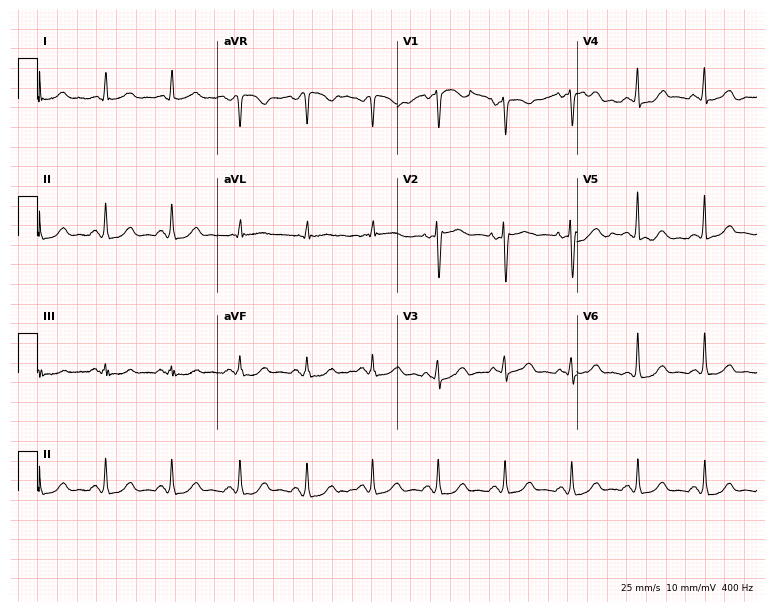
ECG (7.3-second recording at 400 Hz) — a female, 61 years old. Screened for six findings — first-degree AV block, right bundle branch block (RBBB), left bundle branch block (LBBB), sinus bradycardia, atrial fibrillation (AF), sinus tachycardia — none is recorded. Other findings, if any, are not listed.